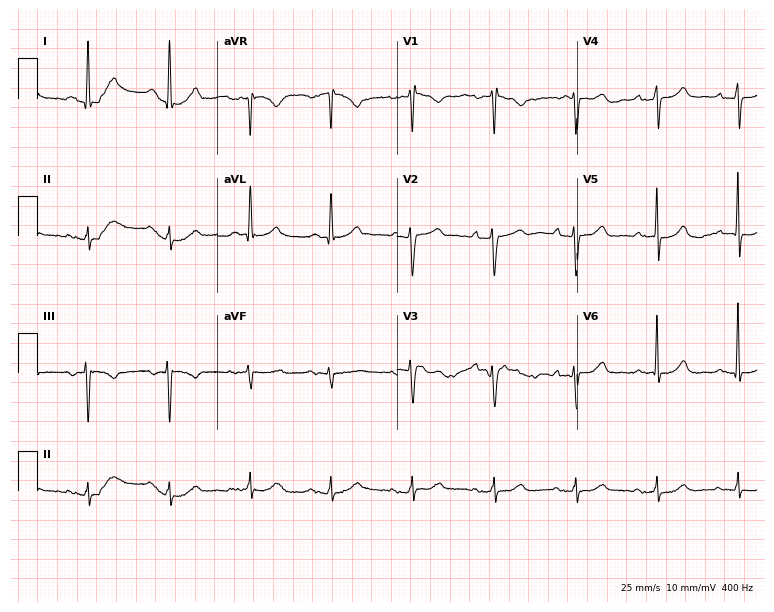
ECG — a man, 68 years old. Labelled as a normal ECG.